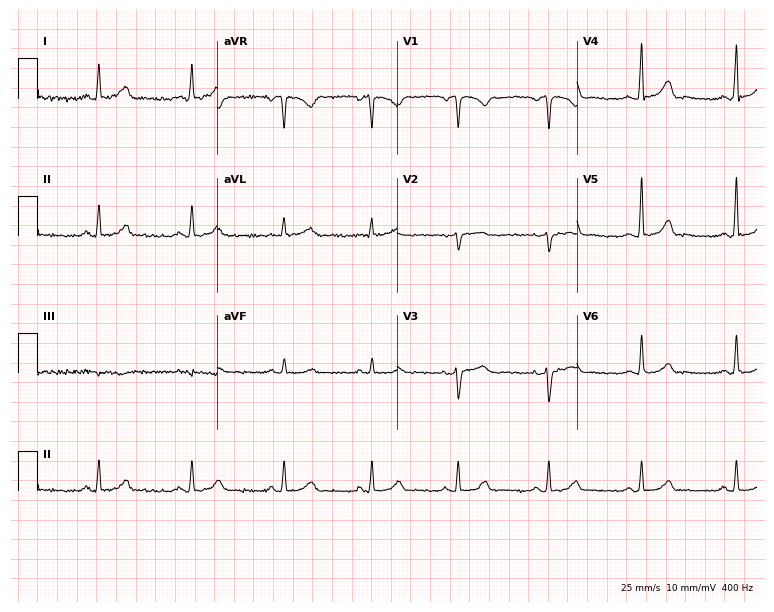
Standard 12-lead ECG recorded from a female, 58 years old. Read as a normal ECG.